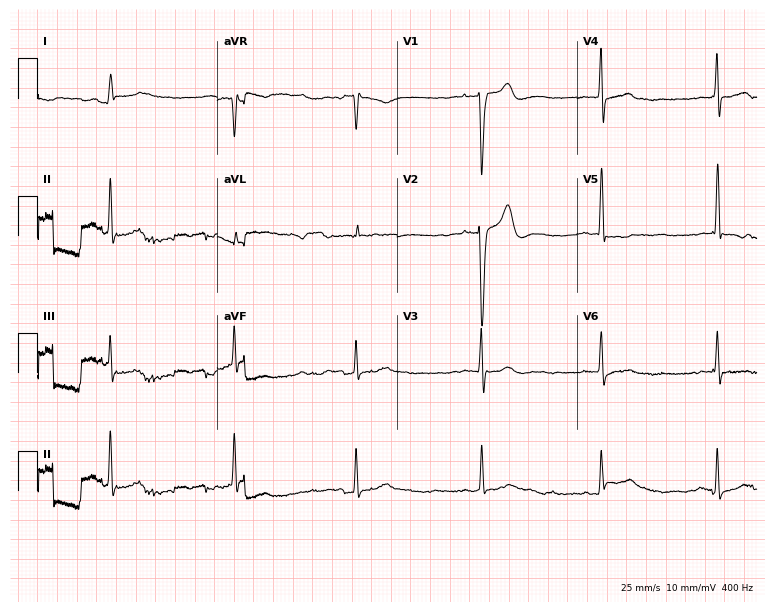
12-lead ECG from a man, 57 years old. Screened for six findings — first-degree AV block, right bundle branch block, left bundle branch block, sinus bradycardia, atrial fibrillation, sinus tachycardia — none is recorded. Findings outside these six are not listed.